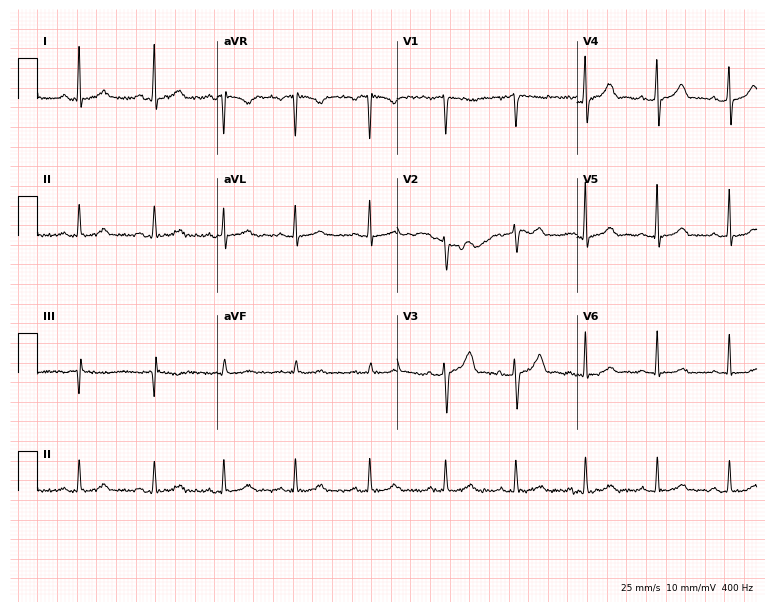
12-lead ECG from a woman, 34 years old. Recorded interpretation: within normal limits.